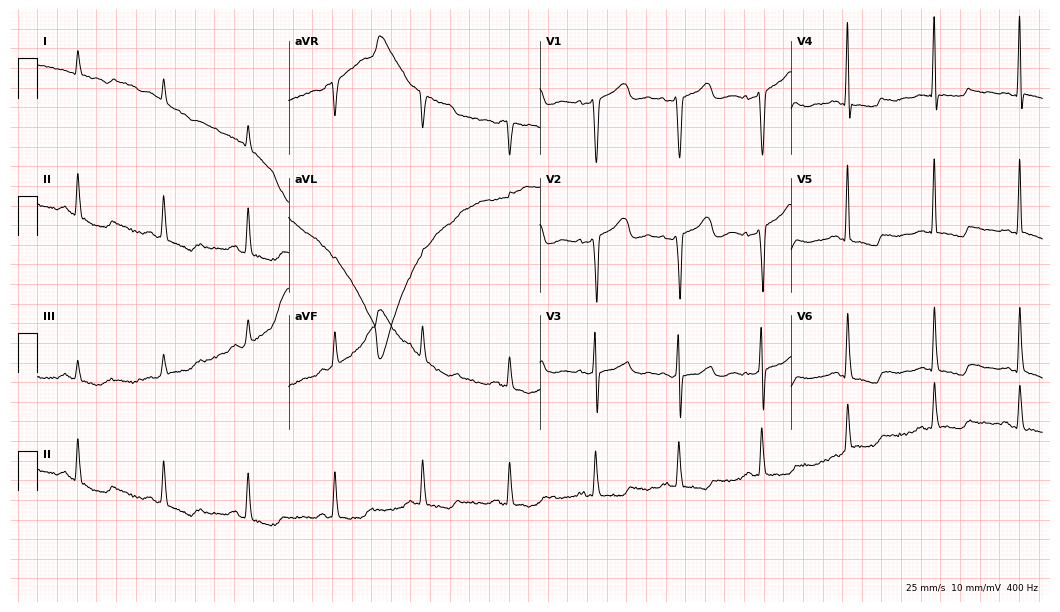
Standard 12-lead ECG recorded from a woman, 64 years old (10.2-second recording at 400 Hz). None of these six findings is recorded: first-degree AV block, right bundle branch block (RBBB), left bundle branch block (LBBB), sinus bradycardia, atrial fibrillation (AF), sinus tachycardia. Only these six findings were labelled.